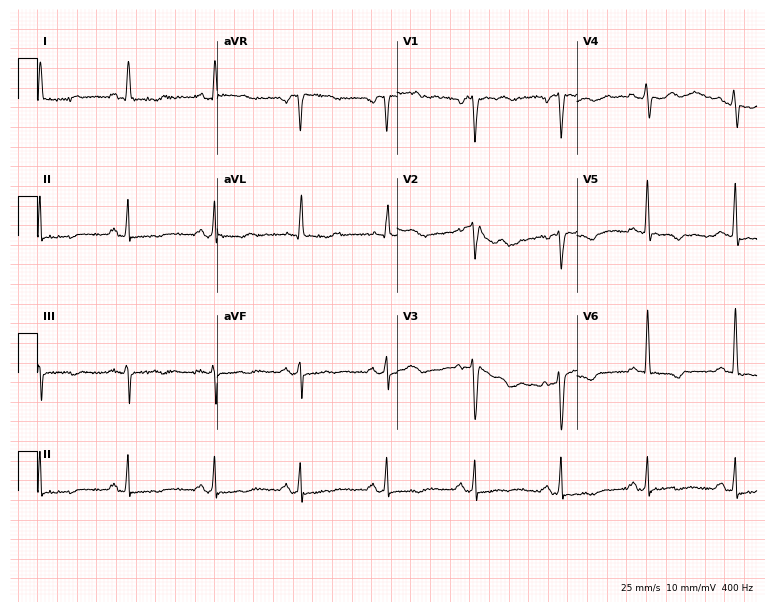
Standard 12-lead ECG recorded from a female, 67 years old (7.3-second recording at 400 Hz). None of these six findings is recorded: first-degree AV block, right bundle branch block, left bundle branch block, sinus bradycardia, atrial fibrillation, sinus tachycardia. Other findings, if any, are not listed.